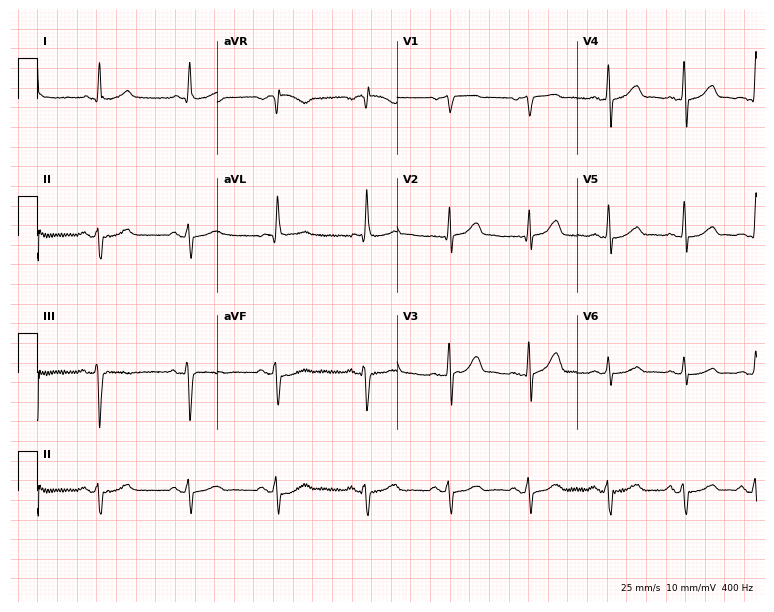
12-lead ECG from a male patient, 67 years old. No first-degree AV block, right bundle branch block, left bundle branch block, sinus bradycardia, atrial fibrillation or sinus tachycardia recorded for this tracing.